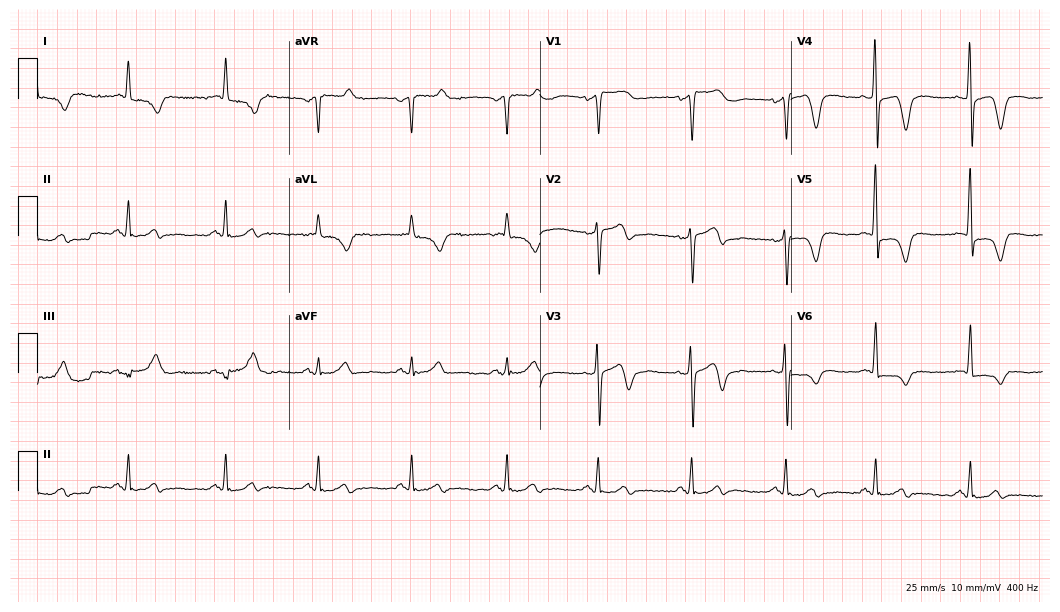
Resting 12-lead electrocardiogram (10.2-second recording at 400 Hz). Patient: a 68-year-old female. None of these six findings is recorded: first-degree AV block, right bundle branch block (RBBB), left bundle branch block (LBBB), sinus bradycardia, atrial fibrillation (AF), sinus tachycardia.